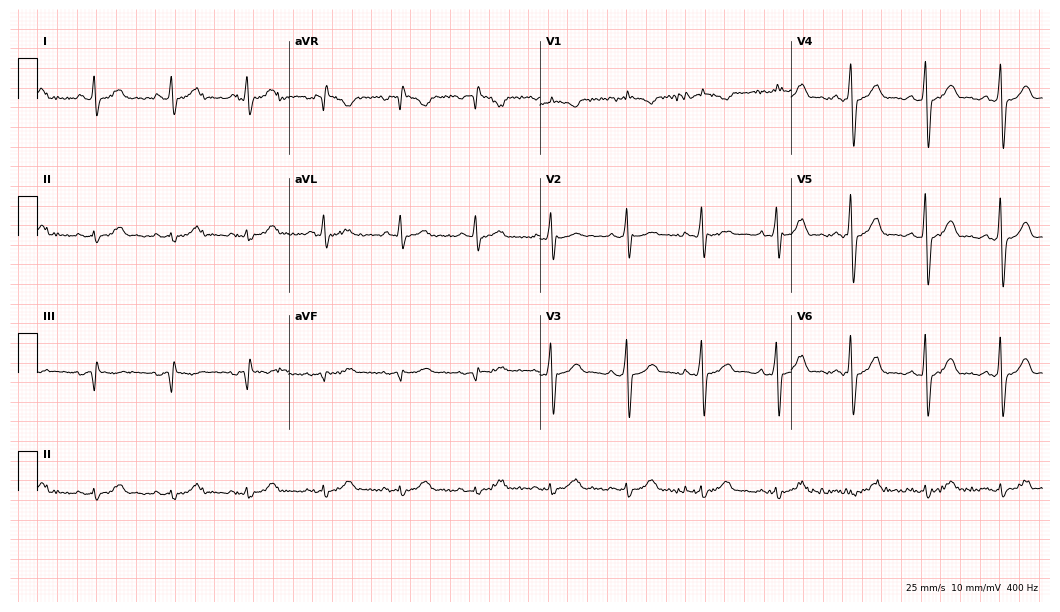
12-lead ECG from a male patient, 57 years old (10.2-second recording at 400 Hz). No first-degree AV block, right bundle branch block (RBBB), left bundle branch block (LBBB), sinus bradycardia, atrial fibrillation (AF) or sinus tachycardia recorded for this tracing. Only these six findings were labelled.